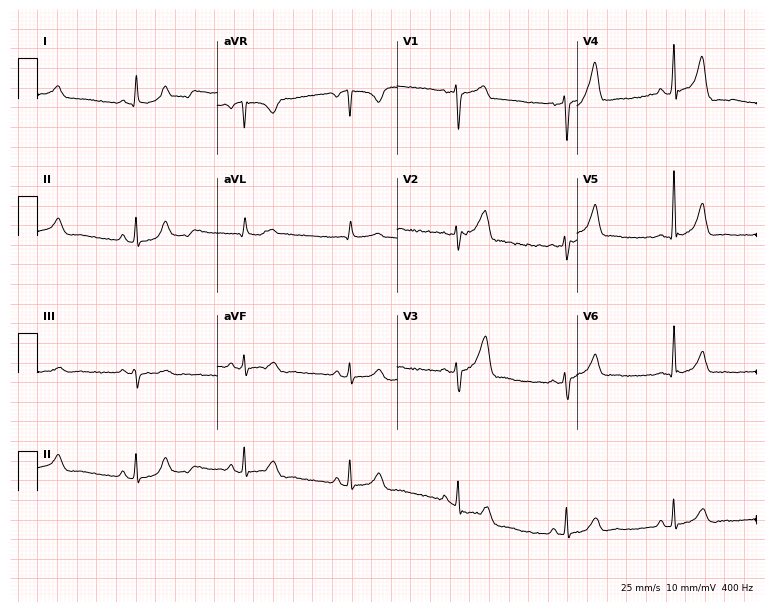
Standard 12-lead ECG recorded from a 50-year-old male patient. None of these six findings is recorded: first-degree AV block, right bundle branch block, left bundle branch block, sinus bradycardia, atrial fibrillation, sinus tachycardia.